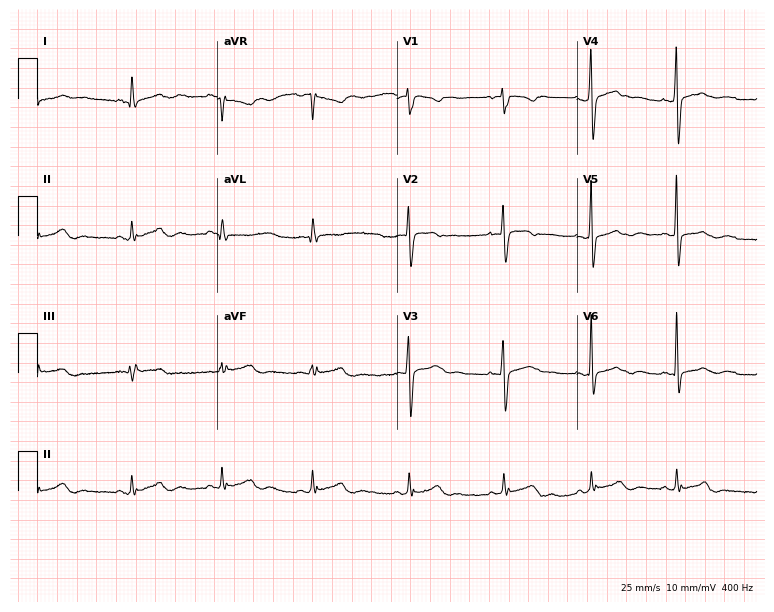
Resting 12-lead electrocardiogram (7.3-second recording at 400 Hz). Patient: a female, 29 years old. None of these six findings is recorded: first-degree AV block, right bundle branch block (RBBB), left bundle branch block (LBBB), sinus bradycardia, atrial fibrillation (AF), sinus tachycardia. Findings outside these six are not listed.